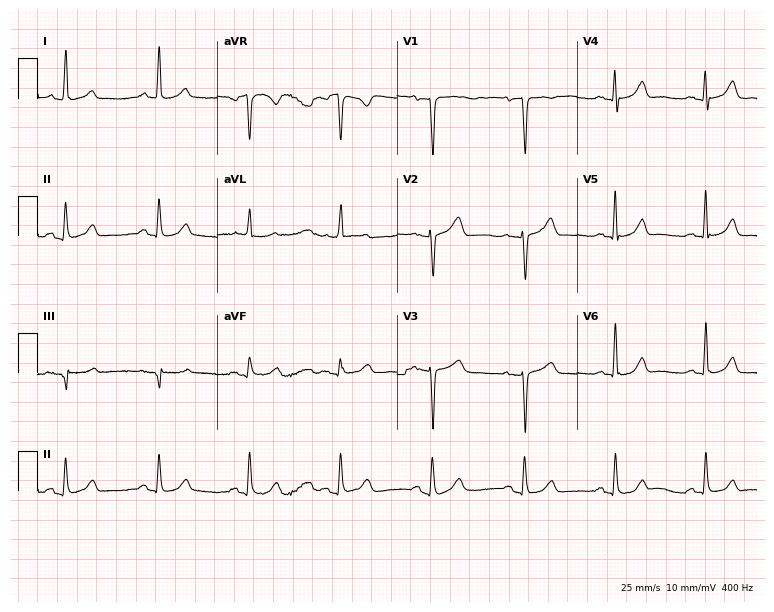
Standard 12-lead ECG recorded from a 56-year-old female patient. None of these six findings is recorded: first-degree AV block, right bundle branch block (RBBB), left bundle branch block (LBBB), sinus bradycardia, atrial fibrillation (AF), sinus tachycardia.